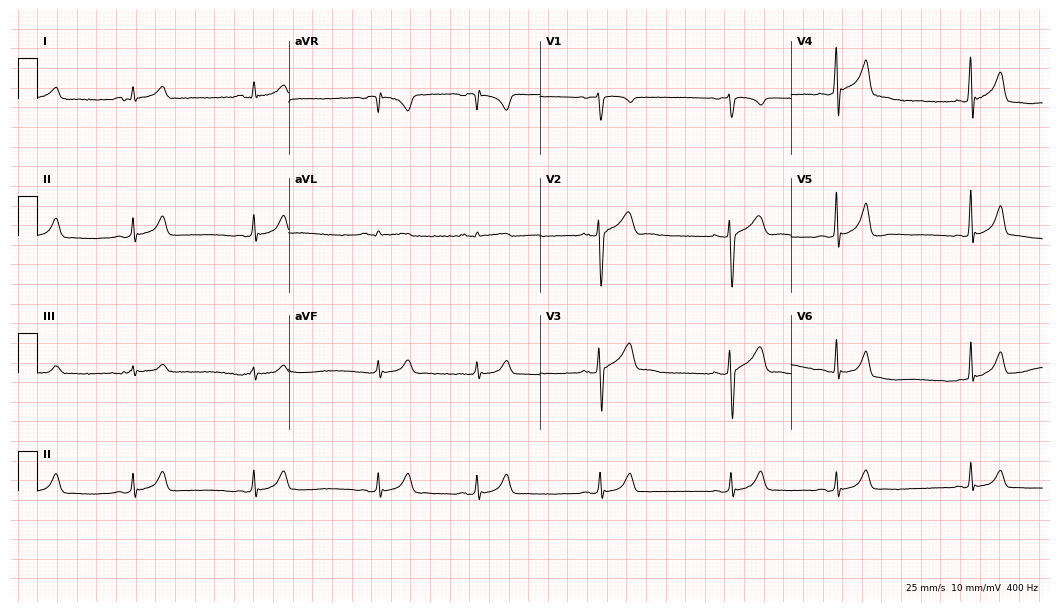
Standard 12-lead ECG recorded from a male patient, 18 years old (10.2-second recording at 400 Hz). Read as a normal ECG.